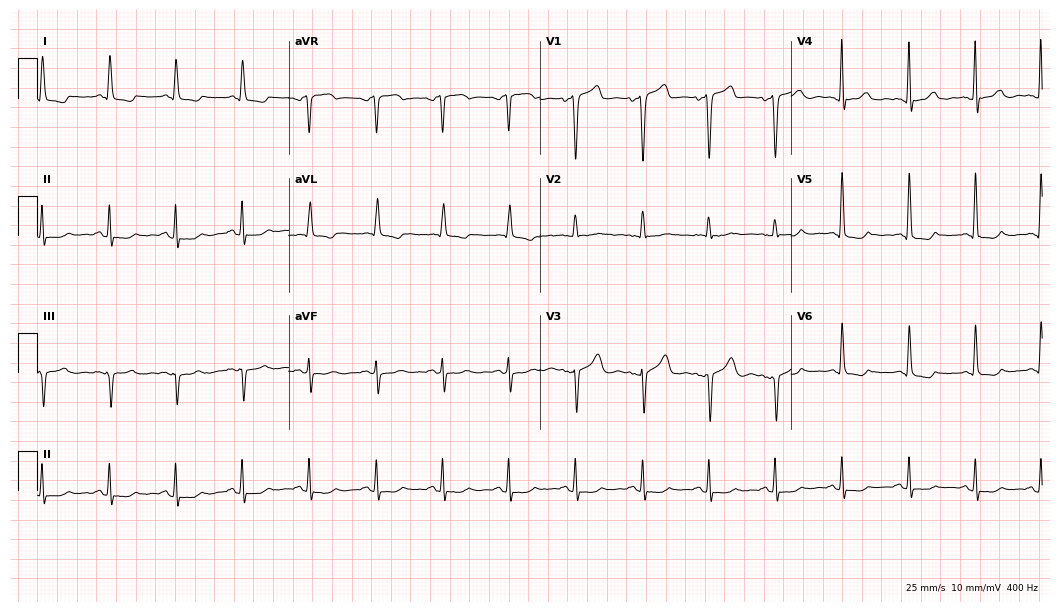
Standard 12-lead ECG recorded from a female patient, 55 years old (10.2-second recording at 400 Hz). None of these six findings is recorded: first-degree AV block, right bundle branch block, left bundle branch block, sinus bradycardia, atrial fibrillation, sinus tachycardia. Findings outside these six are not listed.